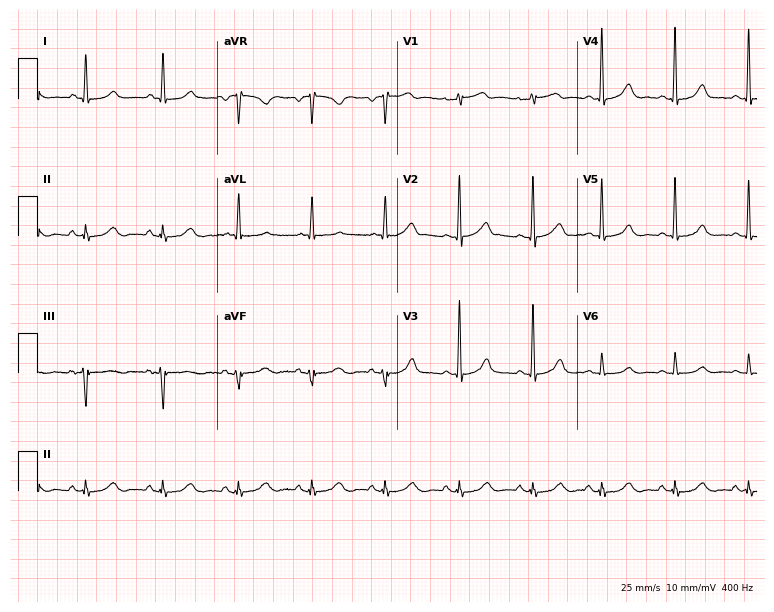
12-lead ECG from a 58-year-old woman. No first-degree AV block, right bundle branch block (RBBB), left bundle branch block (LBBB), sinus bradycardia, atrial fibrillation (AF) or sinus tachycardia recorded for this tracing.